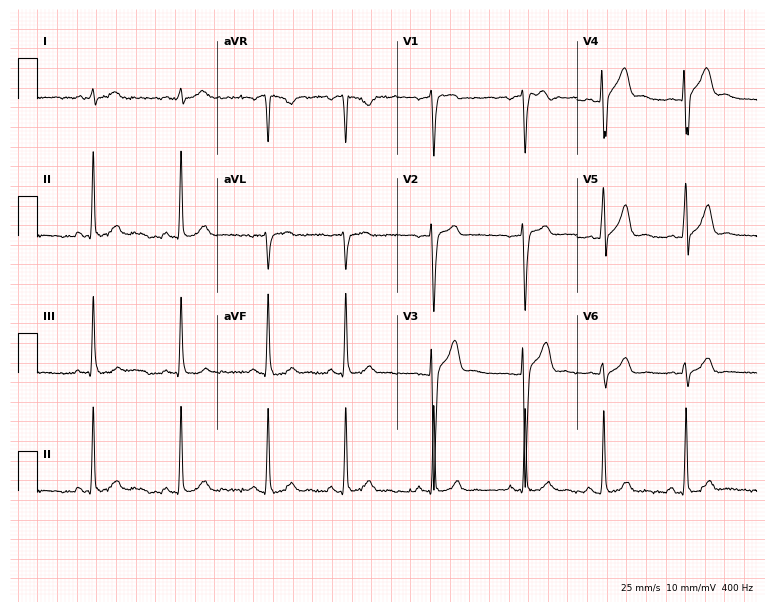
12-lead ECG (7.3-second recording at 400 Hz) from a 24-year-old male patient. Screened for six findings — first-degree AV block, right bundle branch block (RBBB), left bundle branch block (LBBB), sinus bradycardia, atrial fibrillation (AF), sinus tachycardia — none is recorded.